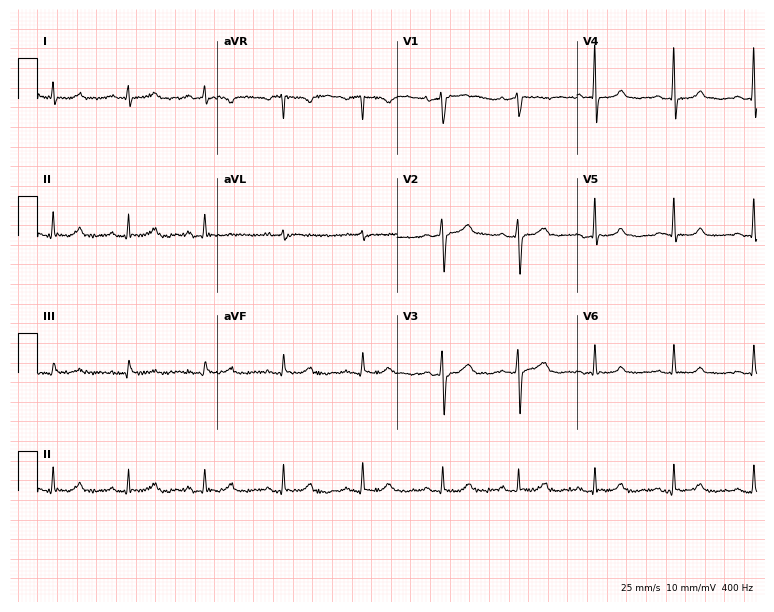
12-lead ECG from a woman, 50 years old (7.3-second recording at 400 Hz). Recorded interpretation: within normal limits.